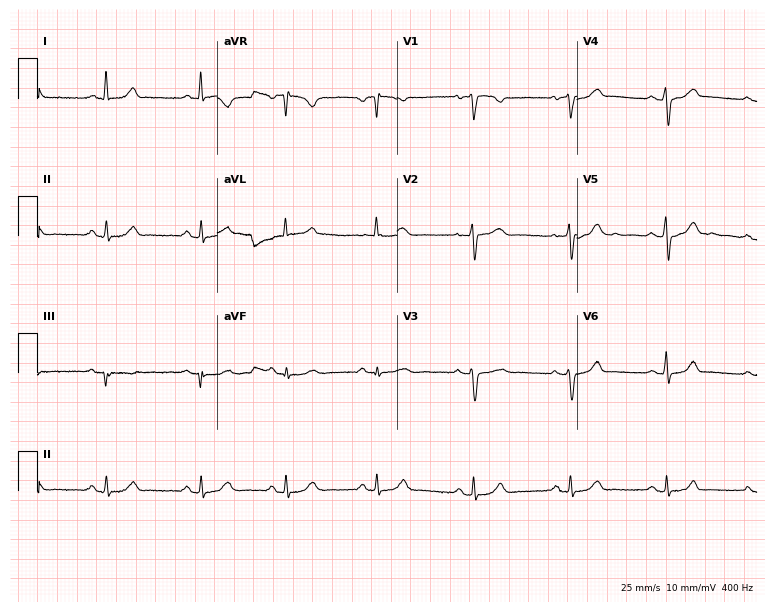
12-lead ECG from a 46-year-old female patient. Labelled as a normal ECG.